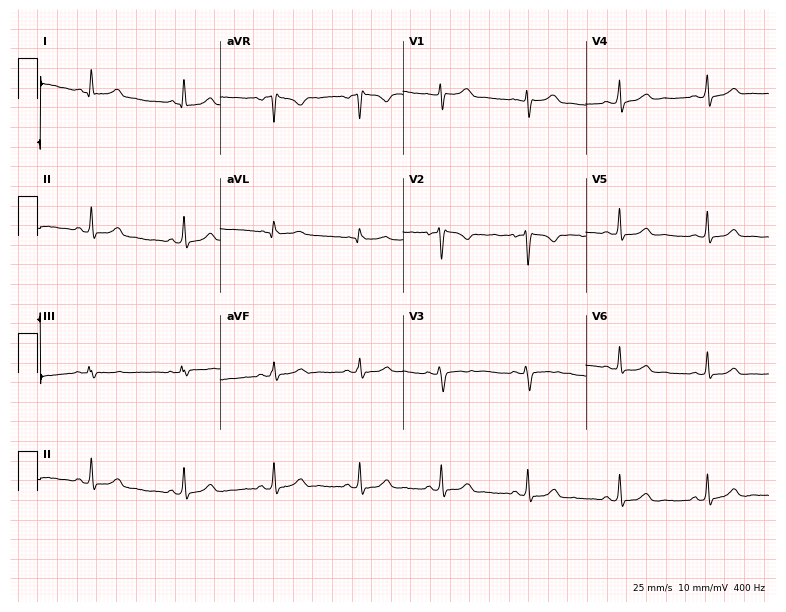
Standard 12-lead ECG recorded from a 32-year-old woman. None of these six findings is recorded: first-degree AV block, right bundle branch block, left bundle branch block, sinus bradycardia, atrial fibrillation, sinus tachycardia. Only these six findings were labelled.